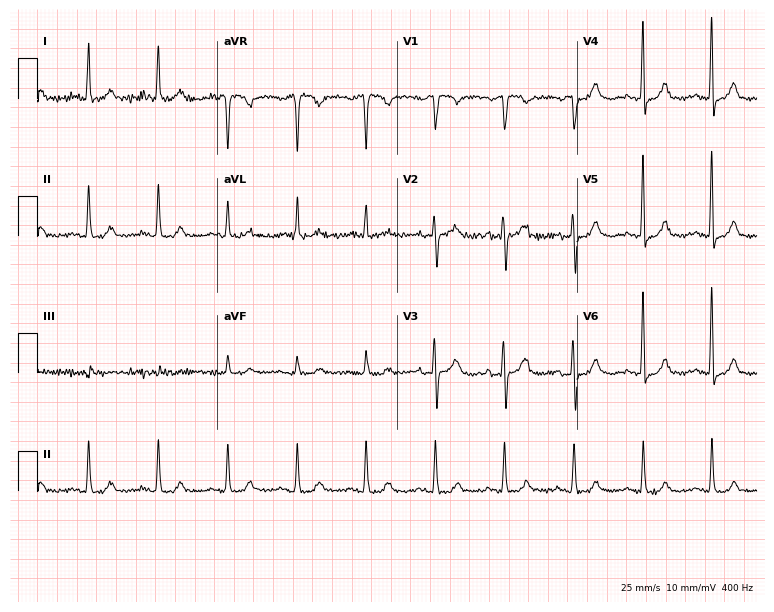
Electrocardiogram (7.3-second recording at 400 Hz), a female patient, 79 years old. Overall reading on record: normal ECG.